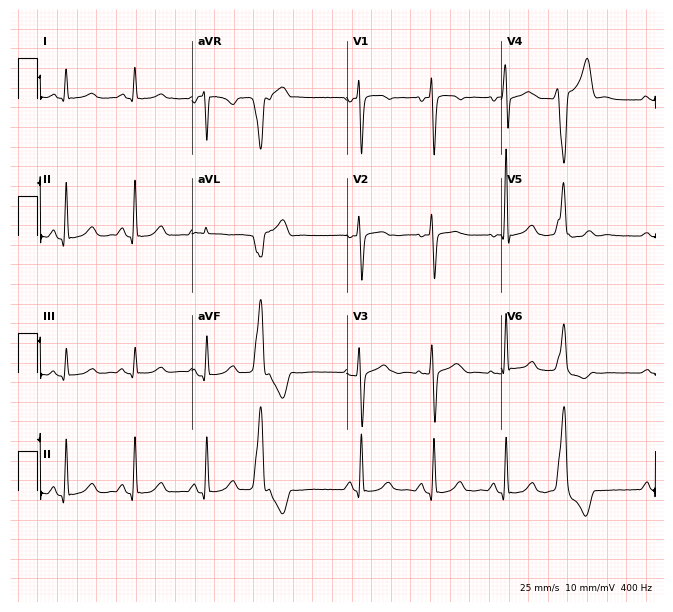
Electrocardiogram (6.3-second recording at 400 Hz), a 24-year-old male patient. Of the six screened findings (first-degree AV block, right bundle branch block, left bundle branch block, sinus bradycardia, atrial fibrillation, sinus tachycardia), none is recorded.